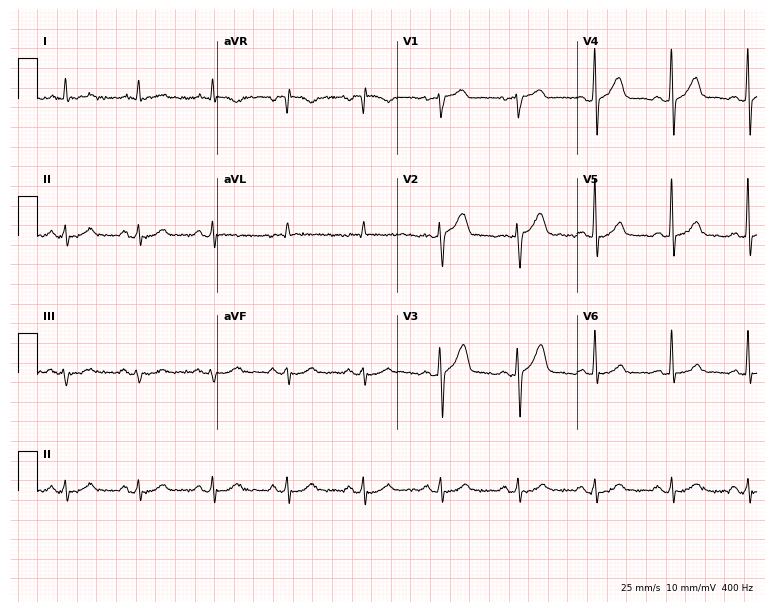
Electrocardiogram (7.3-second recording at 400 Hz), a 75-year-old male patient. Of the six screened findings (first-degree AV block, right bundle branch block, left bundle branch block, sinus bradycardia, atrial fibrillation, sinus tachycardia), none is recorded.